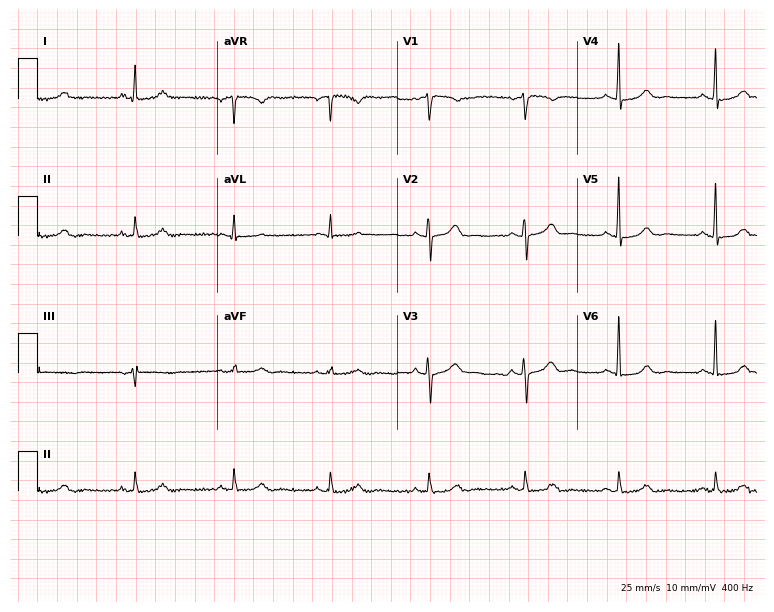
Electrocardiogram (7.3-second recording at 400 Hz), a 65-year-old woman. Overall reading on record: normal ECG.